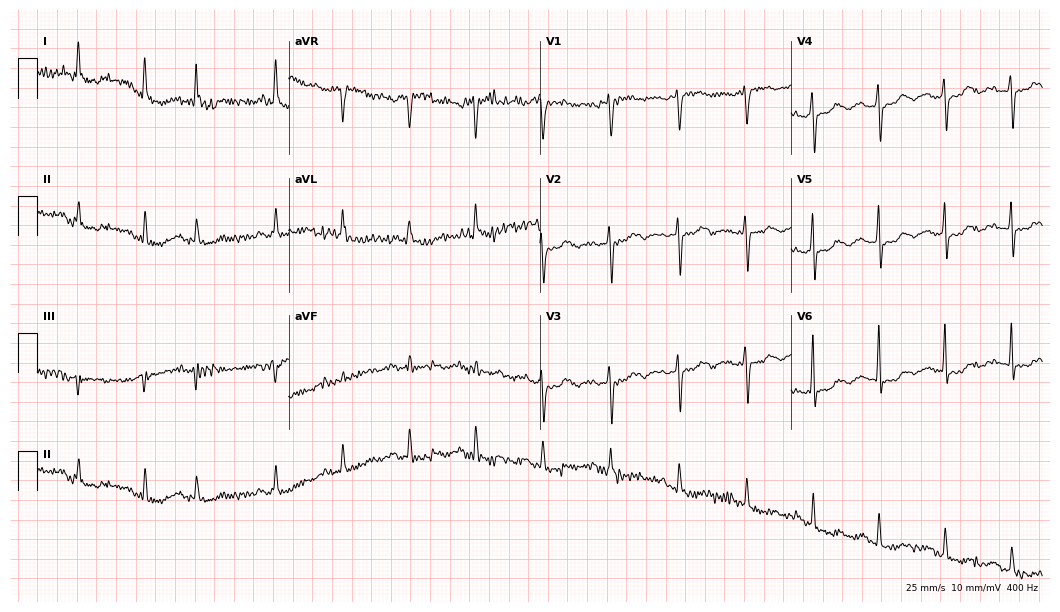
ECG — an 85-year-old woman. Screened for six findings — first-degree AV block, right bundle branch block, left bundle branch block, sinus bradycardia, atrial fibrillation, sinus tachycardia — none is recorded.